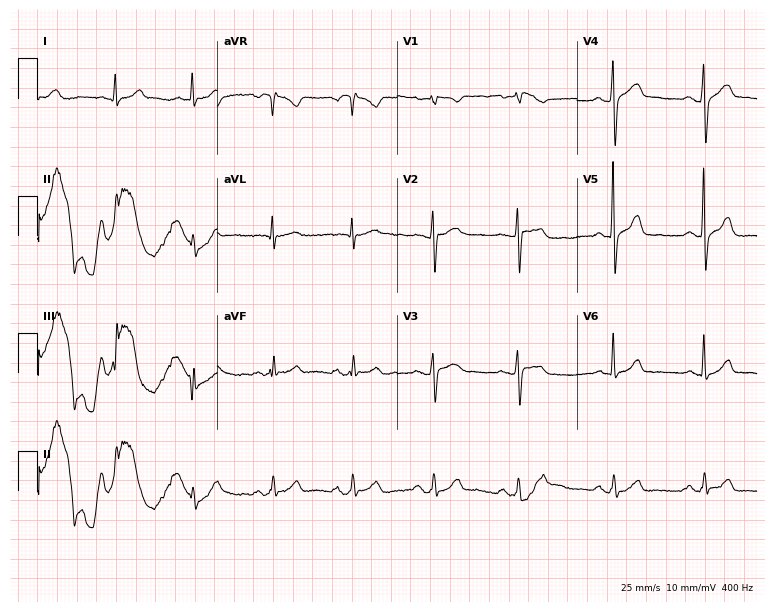
12-lead ECG from a male, 62 years old (7.3-second recording at 400 Hz). Recorded interpretation: within normal limits.